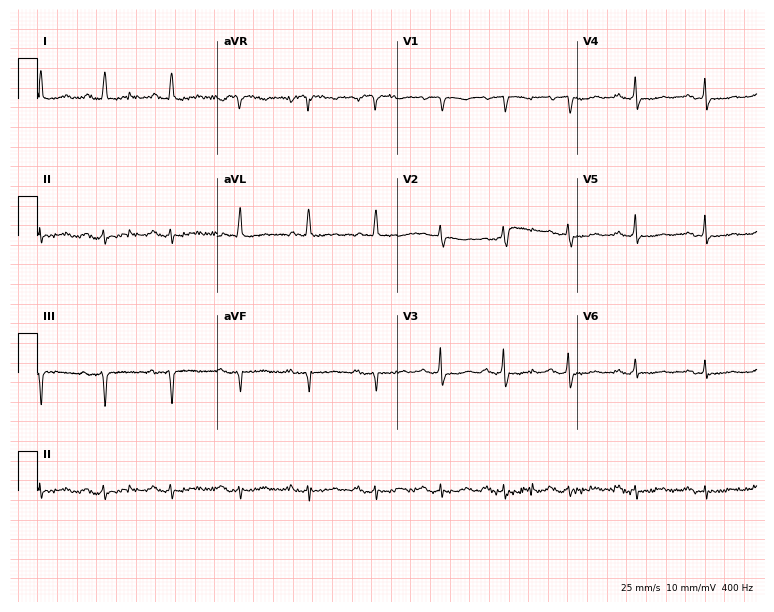
Electrocardiogram, a 79-year-old female patient. Of the six screened findings (first-degree AV block, right bundle branch block, left bundle branch block, sinus bradycardia, atrial fibrillation, sinus tachycardia), none is recorded.